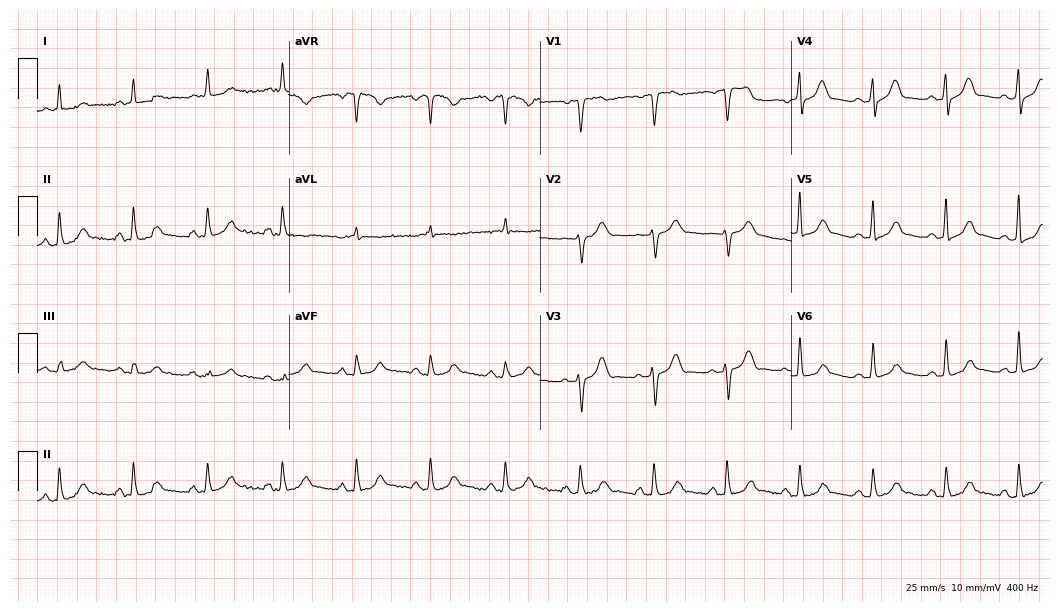
12-lead ECG from a 75-year-old male. Screened for six findings — first-degree AV block, right bundle branch block, left bundle branch block, sinus bradycardia, atrial fibrillation, sinus tachycardia — none is recorded. Only these six findings were labelled.